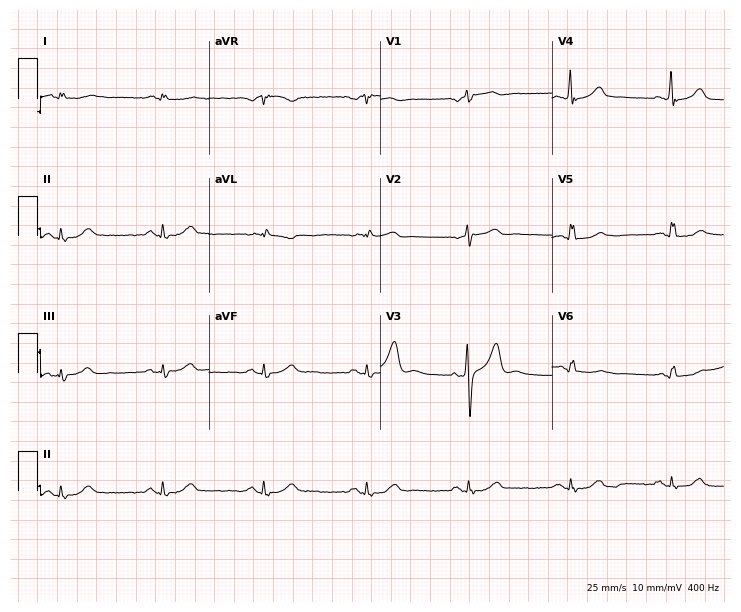
ECG (7-second recording at 400 Hz) — a man, 57 years old. Screened for six findings — first-degree AV block, right bundle branch block (RBBB), left bundle branch block (LBBB), sinus bradycardia, atrial fibrillation (AF), sinus tachycardia — none is recorded. Only these six findings were labelled.